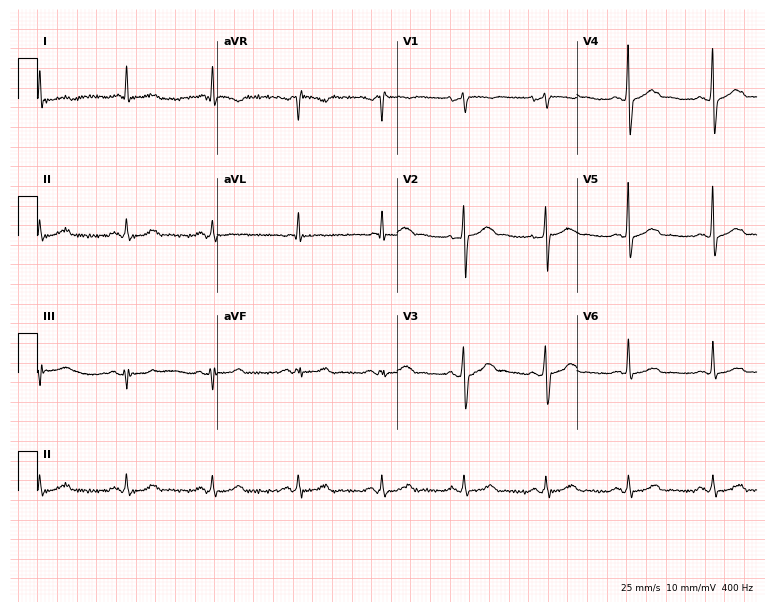
Resting 12-lead electrocardiogram (7.3-second recording at 400 Hz). Patient: a 56-year-old male. Read as a normal ECG.